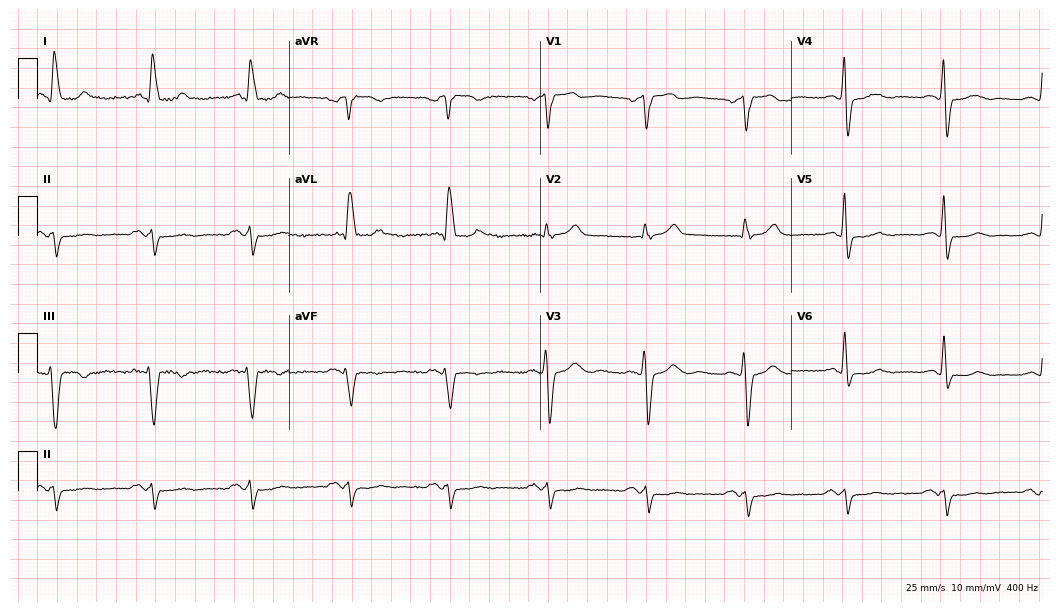
Electrocardiogram (10.2-second recording at 400 Hz), a male, 86 years old. Interpretation includes left bundle branch block.